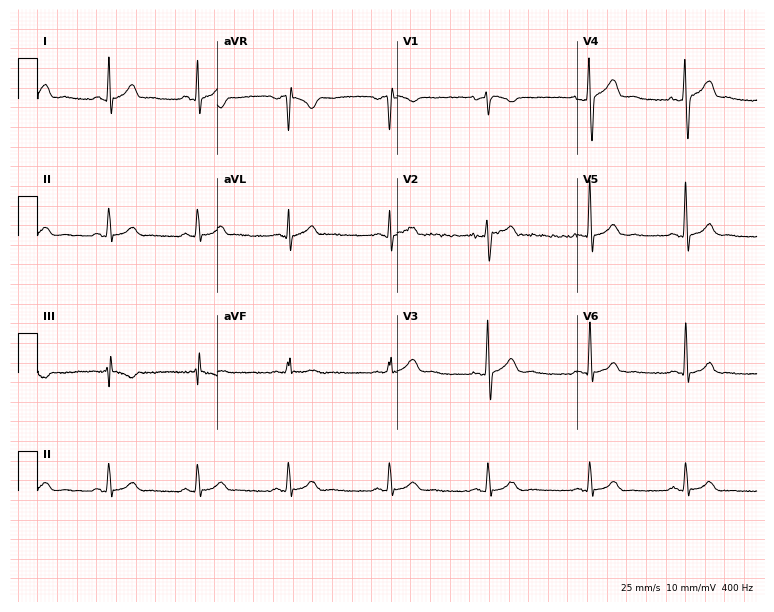
Resting 12-lead electrocardiogram. Patient: a man, 35 years old. None of these six findings is recorded: first-degree AV block, right bundle branch block, left bundle branch block, sinus bradycardia, atrial fibrillation, sinus tachycardia.